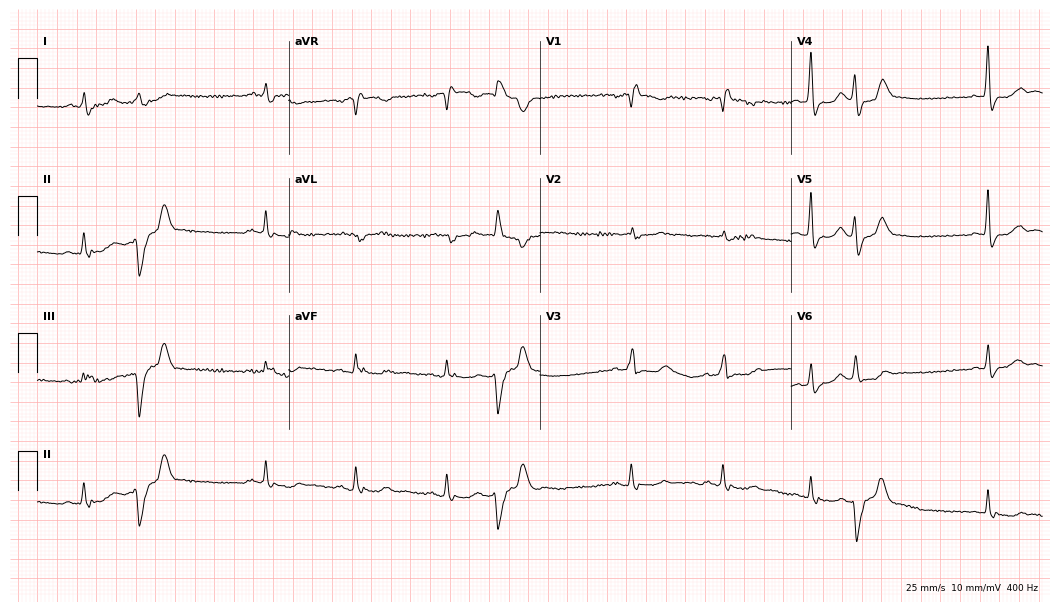
ECG — a 79-year-old male. Findings include right bundle branch block.